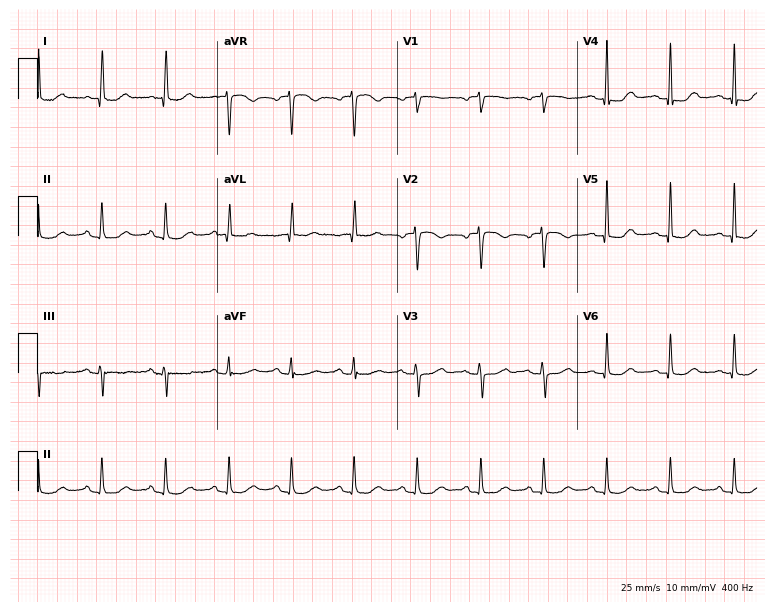
Resting 12-lead electrocardiogram (7.3-second recording at 400 Hz). Patient: a 51-year-old female. None of these six findings is recorded: first-degree AV block, right bundle branch block (RBBB), left bundle branch block (LBBB), sinus bradycardia, atrial fibrillation (AF), sinus tachycardia. Findings outside these six are not listed.